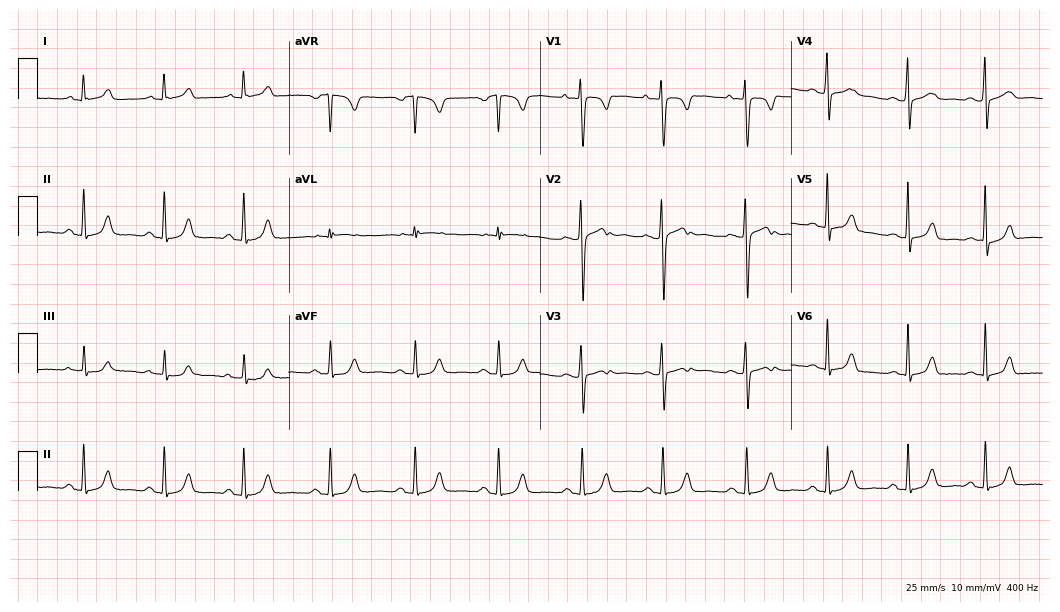
Standard 12-lead ECG recorded from a female, 30 years old. Read as a normal ECG.